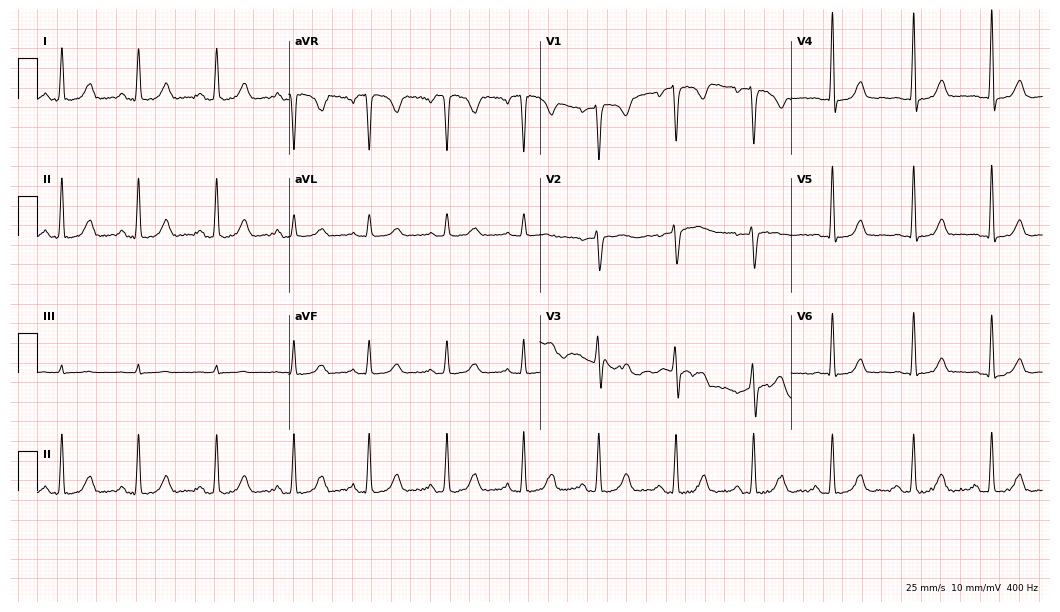
12-lead ECG from a 43-year-old female patient. Labelled as a normal ECG.